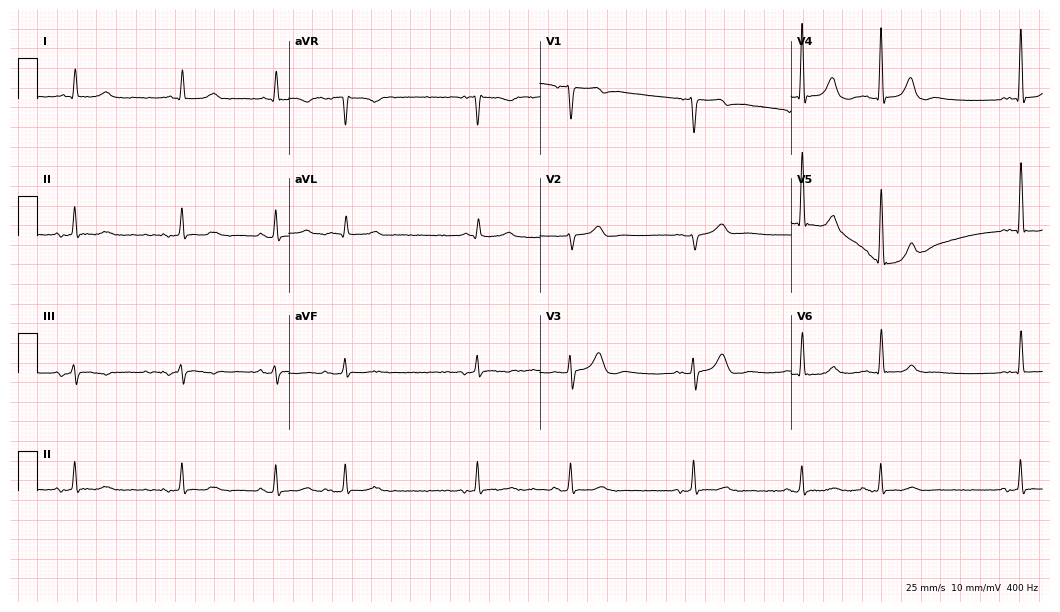
Electrocardiogram (10.2-second recording at 400 Hz), an 82-year-old male patient. Of the six screened findings (first-degree AV block, right bundle branch block (RBBB), left bundle branch block (LBBB), sinus bradycardia, atrial fibrillation (AF), sinus tachycardia), none is recorded. Only these six findings were labelled.